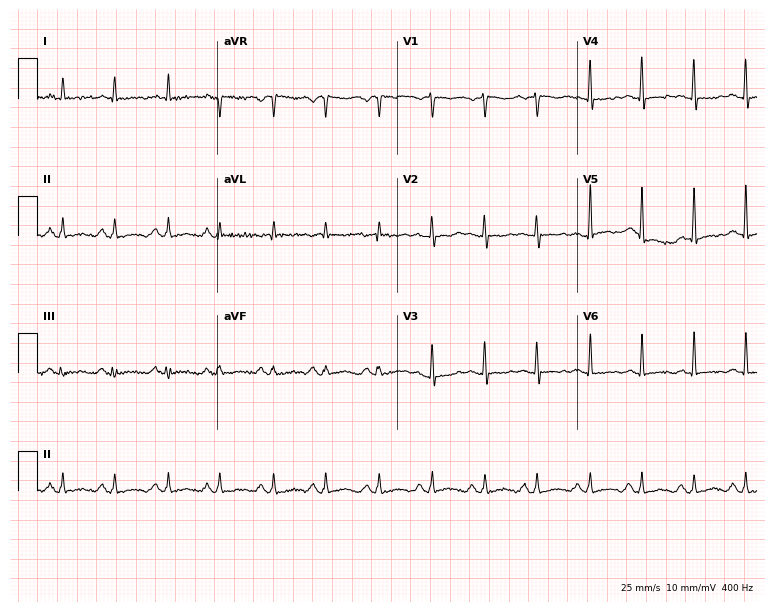
Standard 12-lead ECG recorded from a 48-year-old female. None of these six findings is recorded: first-degree AV block, right bundle branch block, left bundle branch block, sinus bradycardia, atrial fibrillation, sinus tachycardia.